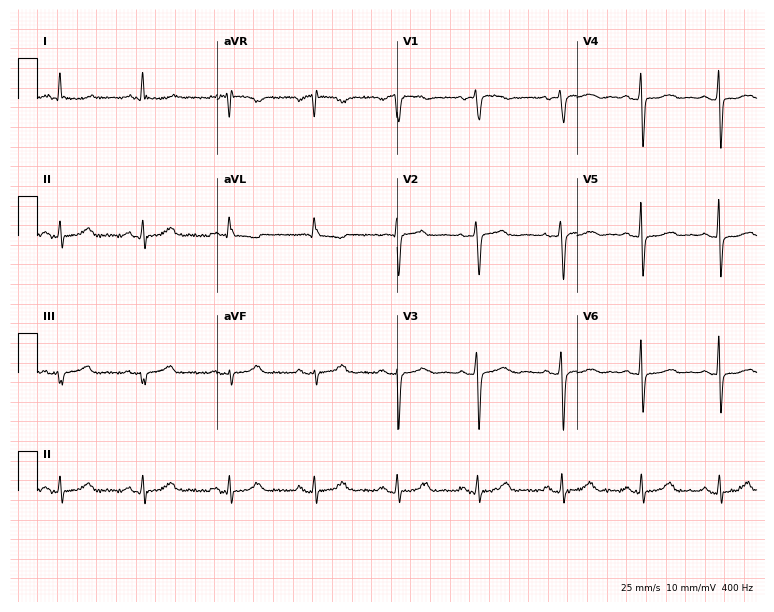
12-lead ECG from a female, 69 years old. Recorded interpretation: within normal limits.